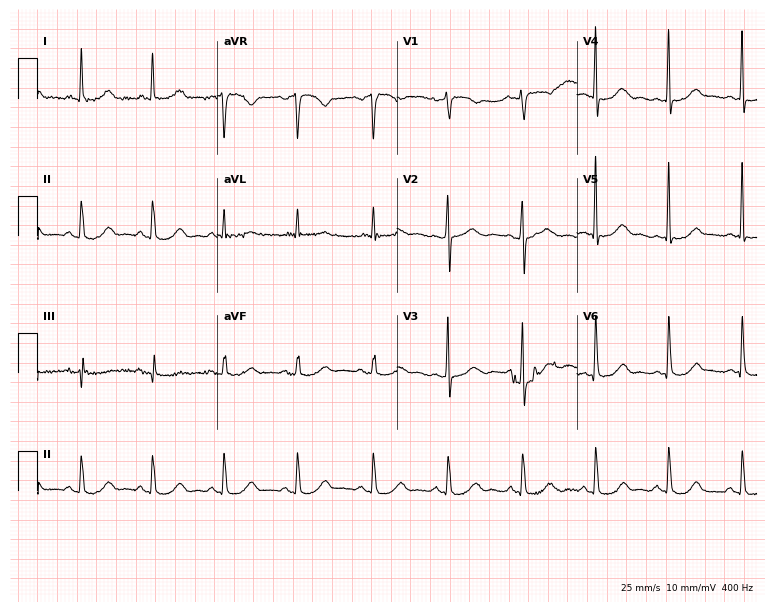
Electrocardiogram (7.3-second recording at 400 Hz), a female, 63 years old. Of the six screened findings (first-degree AV block, right bundle branch block, left bundle branch block, sinus bradycardia, atrial fibrillation, sinus tachycardia), none is recorded. Only these six findings were labelled.